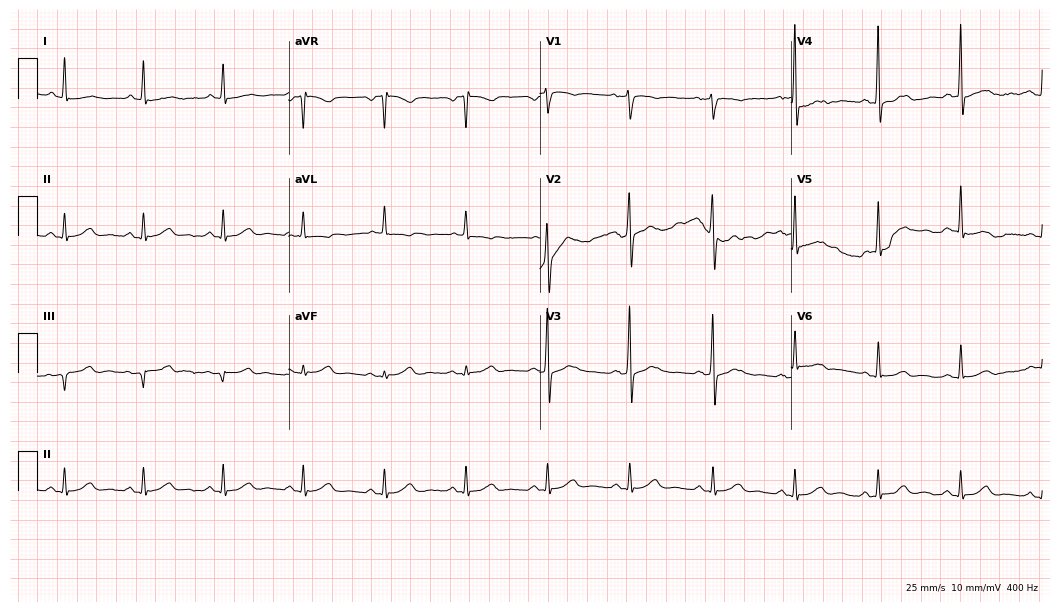
12-lead ECG from a male patient, 66 years old (10.2-second recording at 400 Hz). Recorded interpretation: within normal limits.